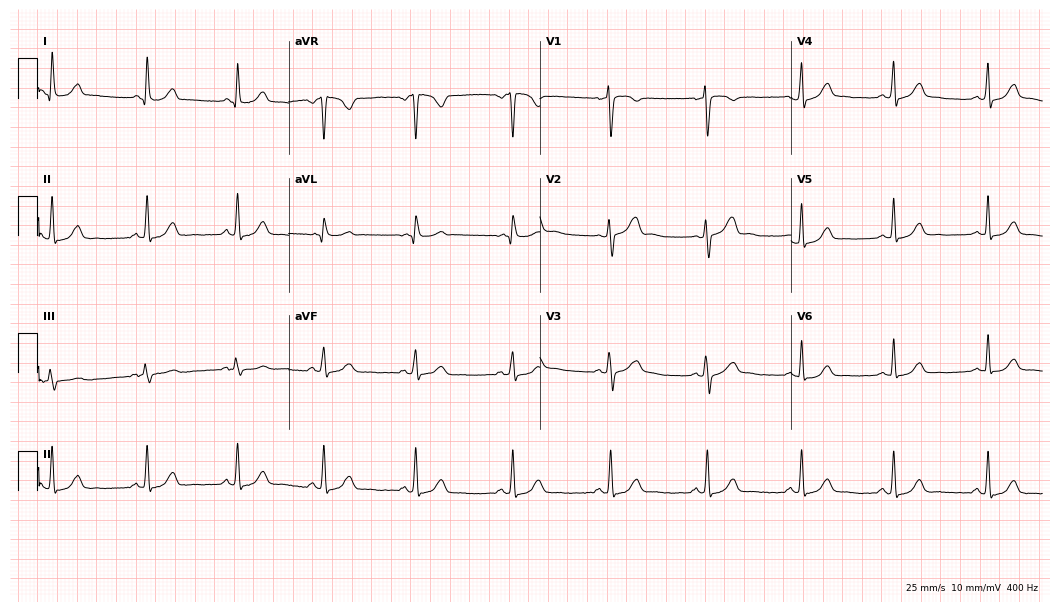
Standard 12-lead ECG recorded from a 33-year-old woman (10.2-second recording at 400 Hz). Read as a normal ECG.